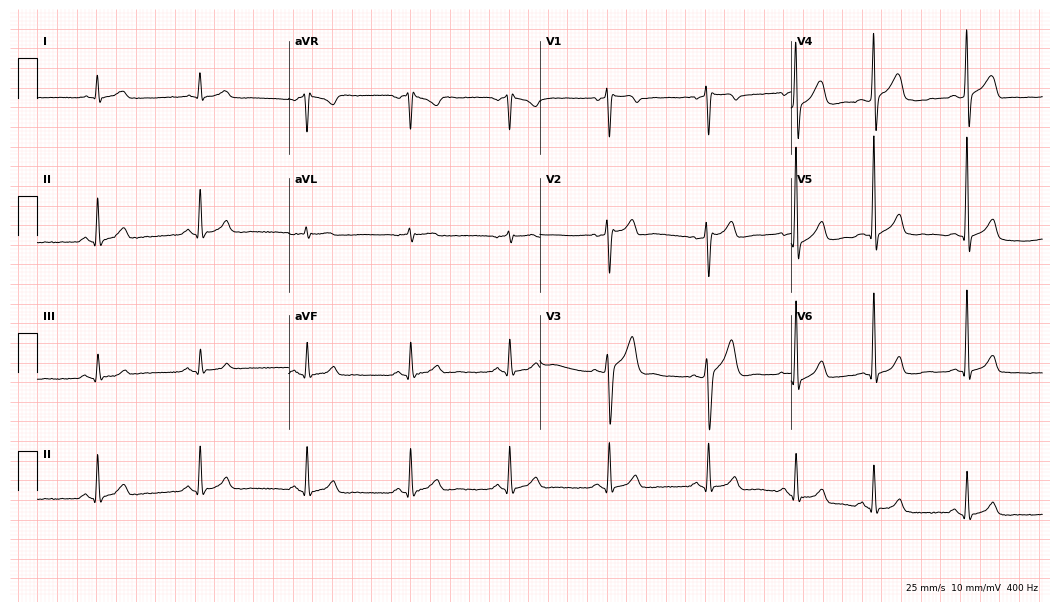
Standard 12-lead ECG recorded from a 35-year-old man. Read as a normal ECG.